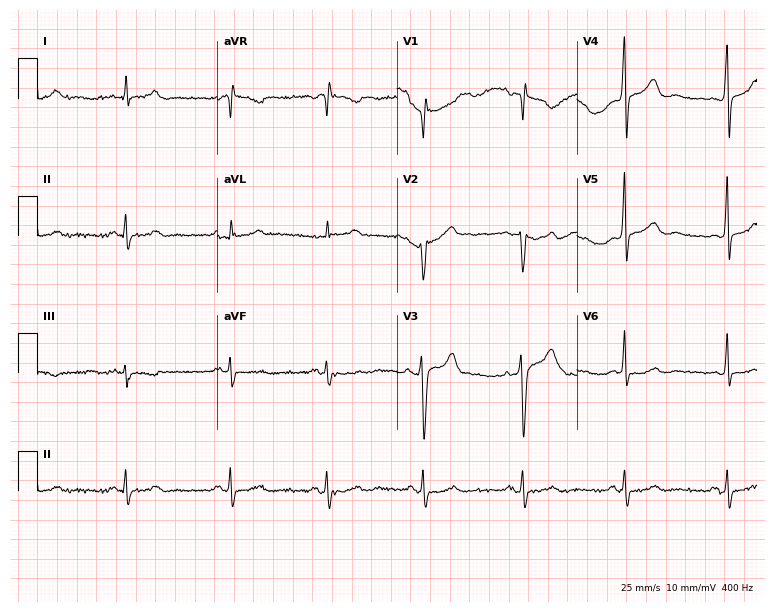
ECG (7.3-second recording at 400 Hz) — a 71-year-old male. Screened for six findings — first-degree AV block, right bundle branch block, left bundle branch block, sinus bradycardia, atrial fibrillation, sinus tachycardia — none is recorded.